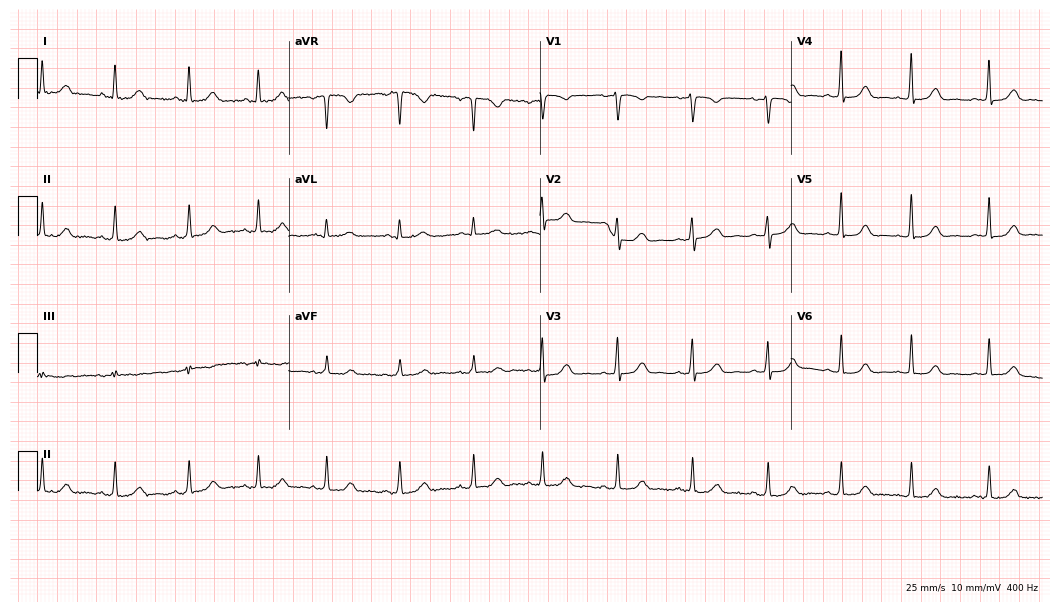
12-lead ECG from a 37-year-old woman (10.2-second recording at 400 Hz). Recorded interpretation: within normal limits.